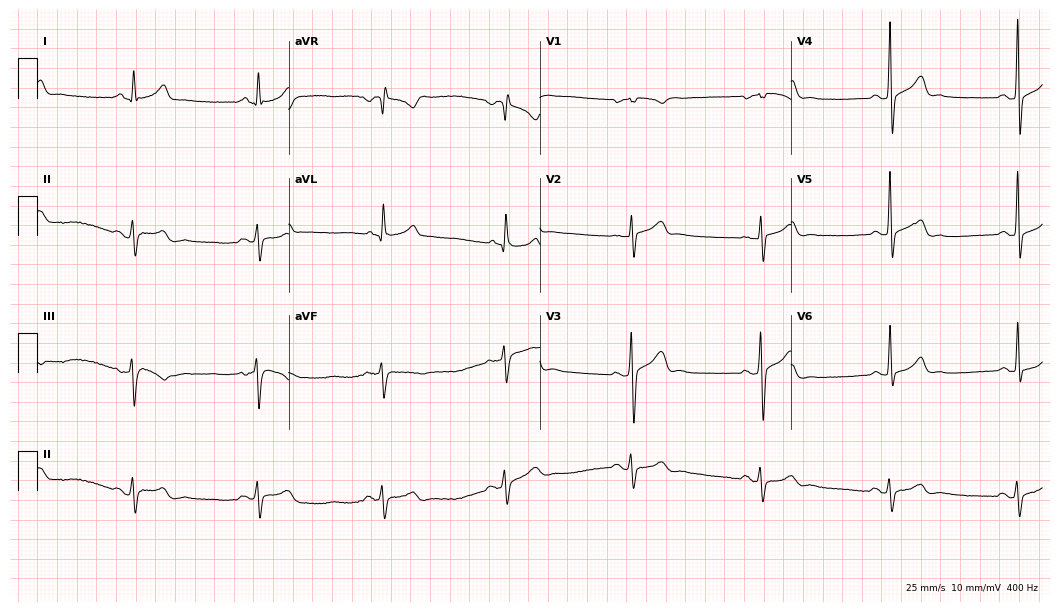
12-lead ECG from a 54-year-old male (10.2-second recording at 400 Hz). No first-degree AV block, right bundle branch block (RBBB), left bundle branch block (LBBB), sinus bradycardia, atrial fibrillation (AF) or sinus tachycardia recorded for this tracing.